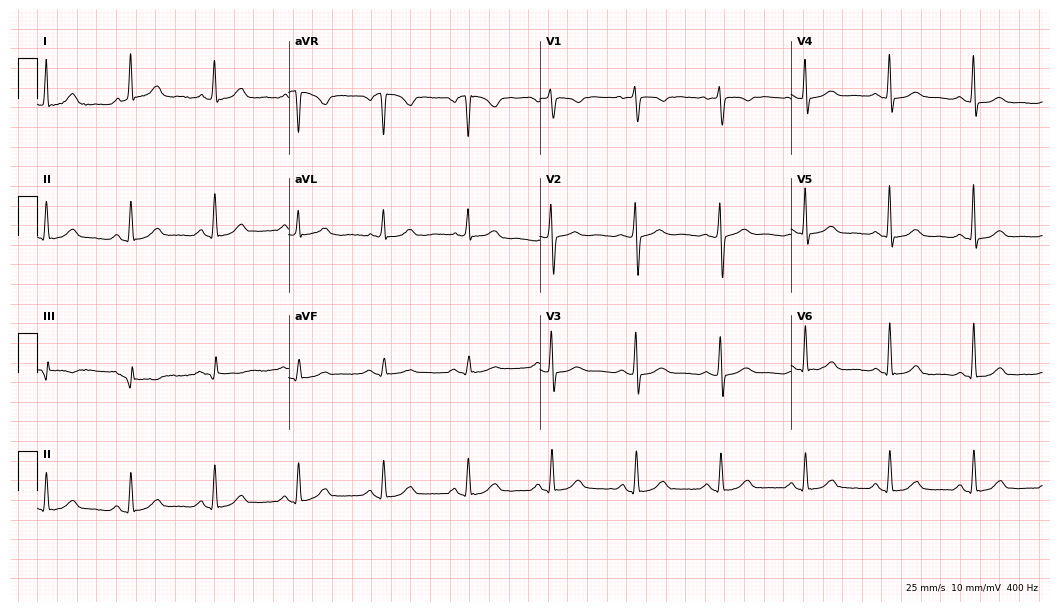
Standard 12-lead ECG recorded from a 71-year-old female patient. Read as a normal ECG.